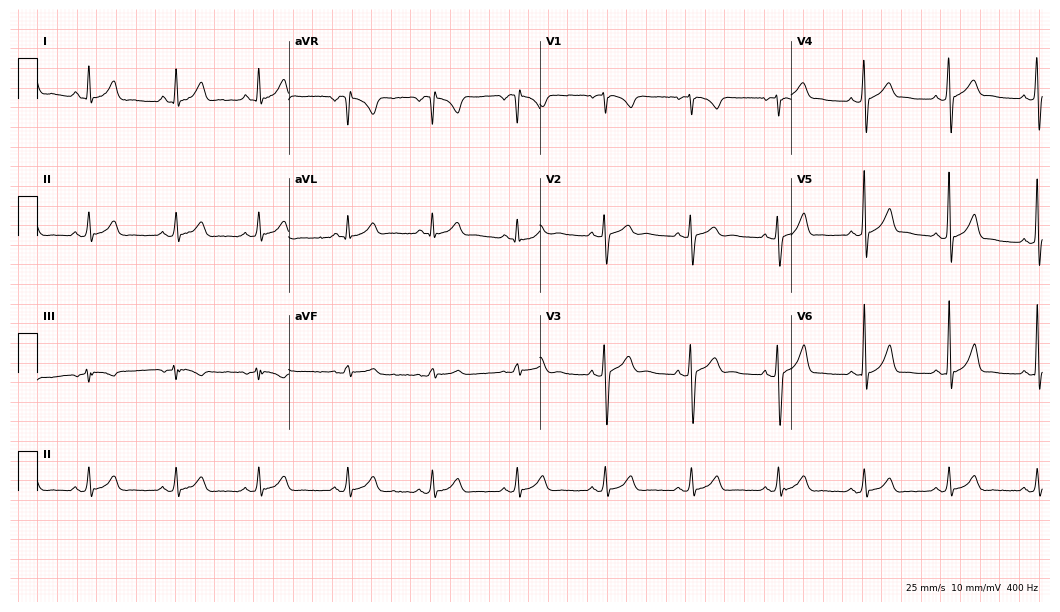
ECG — a 21-year-old male patient. Screened for six findings — first-degree AV block, right bundle branch block, left bundle branch block, sinus bradycardia, atrial fibrillation, sinus tachycardia — none is recorded.